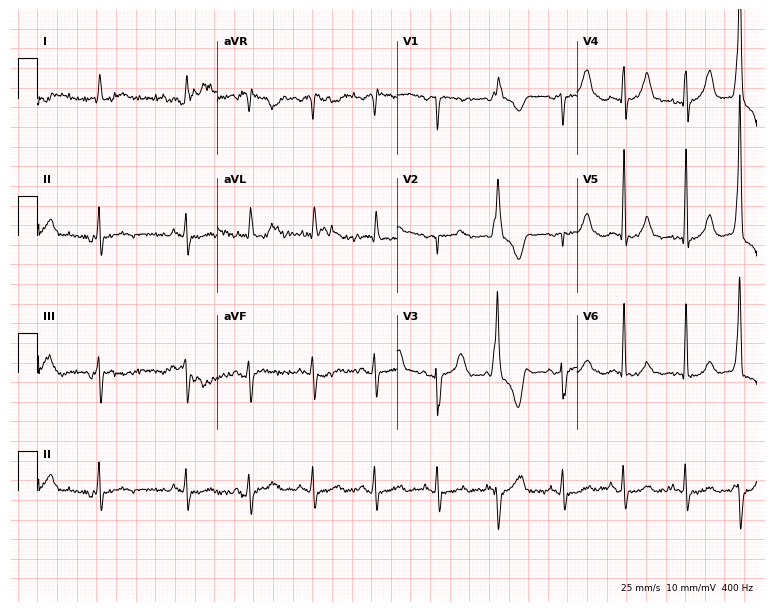
12-lead ECG from a male, 81 years old. Screened for six findings — first-degree AV block, right bundle branch block, left bundle branch block, sinus bradycardia, atrial fibrillation, sinus tachycardia — none is recorded.